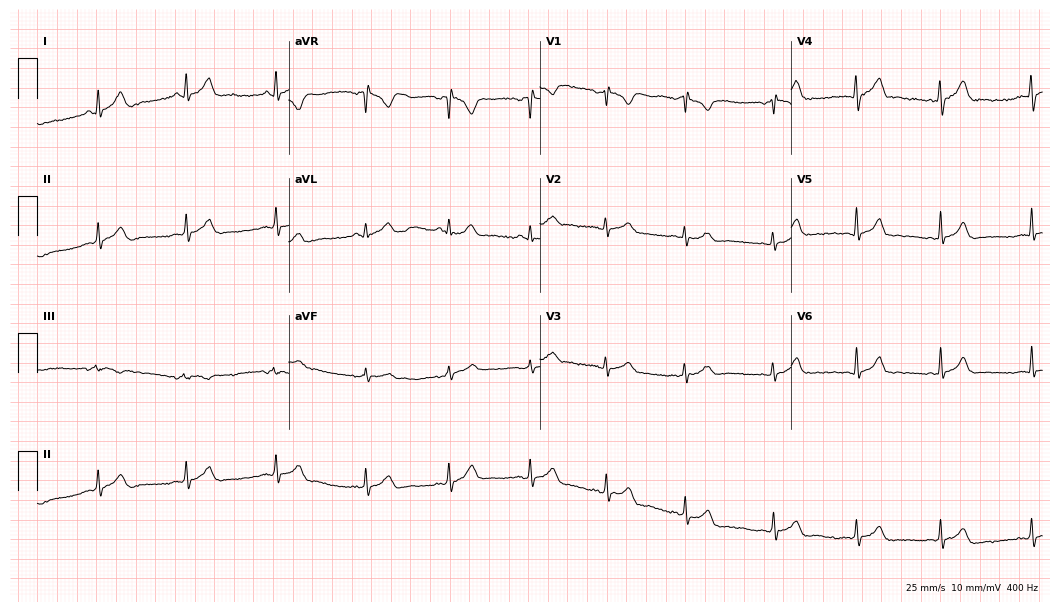
12-lead ECG from a 22-year-old woman (10.2-second recording at 400 Hz). Recorded interpretation: within normal limits.